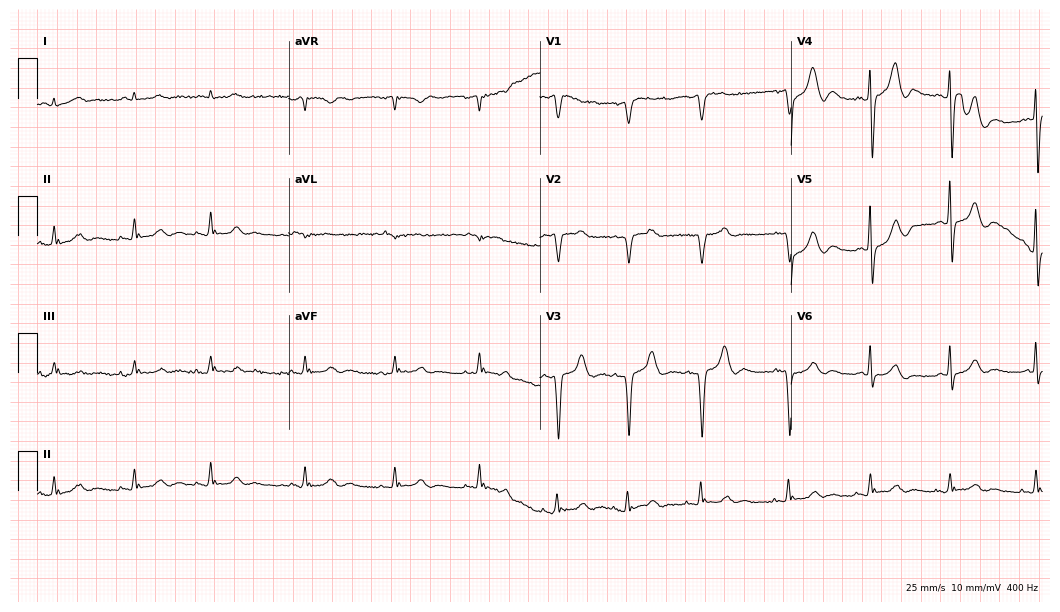
Electrocardiogram, a male, 83 years old. Of the six screened findings (first-degree AV block, right bundle branch block, left bundle branch block, sinus bradycardia, atrial fibrillation, sinus tachycardia), none is recorded. Only these six findings were labelled.